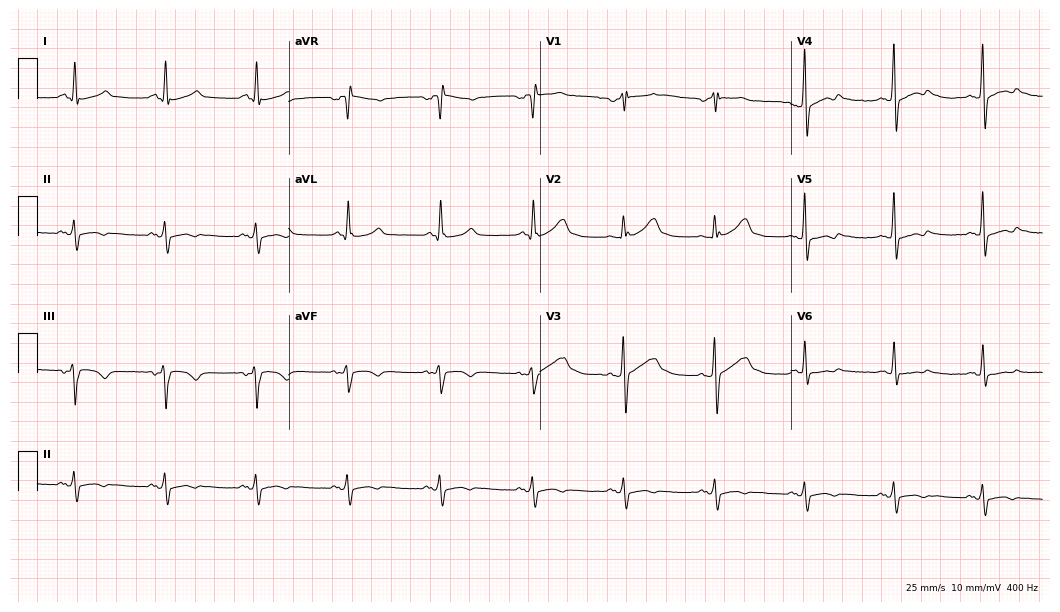
12-lead ECG from a man, 47 years old. No first-degree AV block, right bundle branch block, left bundle branch block, sinus bradycardia, atrial fibrillation or sinus tachycardia recorded for this tracing. Other findings, if any, are not listed.